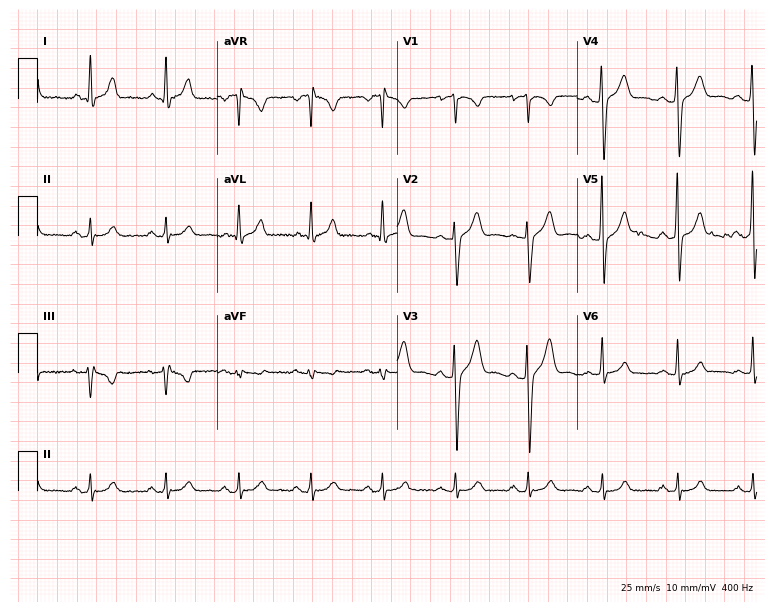
Resting 12-lead electrocardiogram (7.3-second recording at 400 Hz). Patient: a 42-year-old male. Read as a normal ECG.